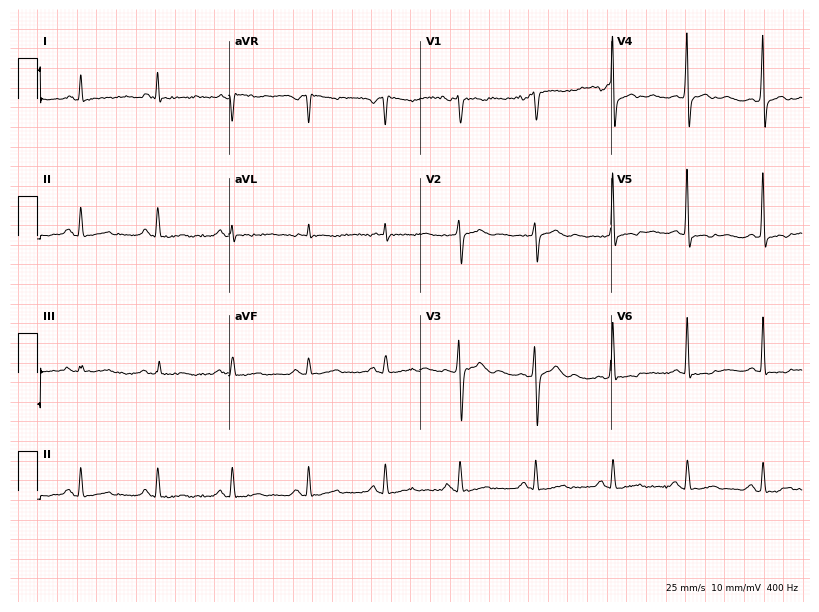
Standard 12-lead ECG recorded from a male patient, 66 years old (7.8-second recording at 400 Hz). None of these six findings is recorded: first-degree AV block, right bundle branch block (RBBB), left bundle branch block (LBBB), sinus bradycardia, atrial fibrillation (AF), sinus tachycardia. Only these six findings were labelled.